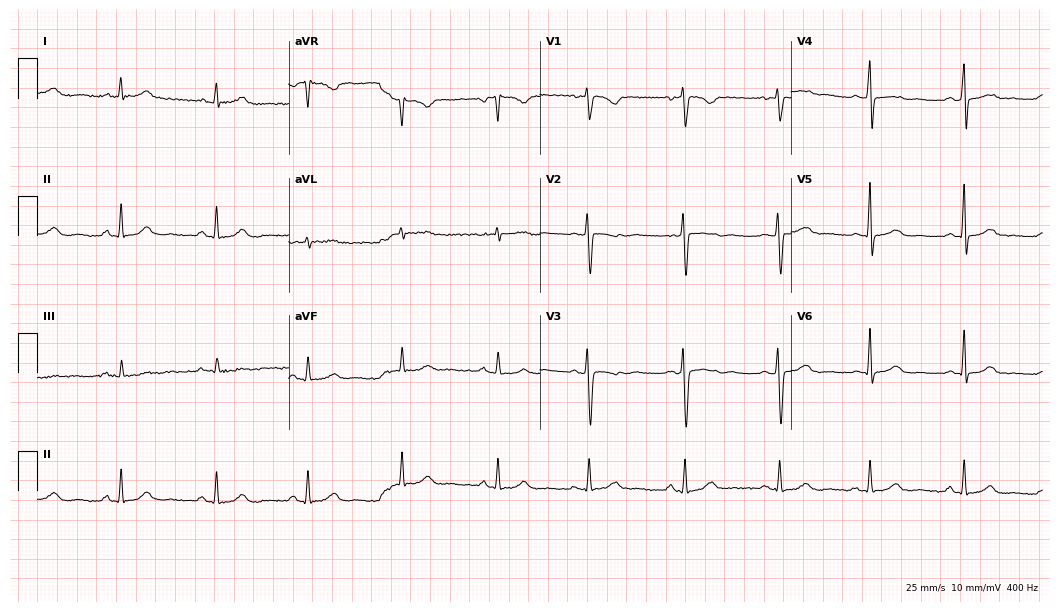
ECG — a woman, 39 years old. Labelled as a normal ECG.